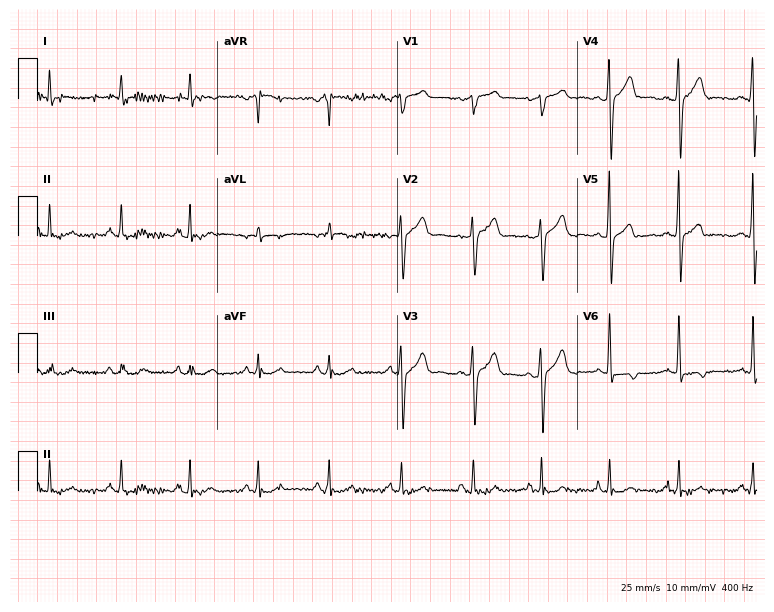
Electrocardiogram, a male, 68 years old. Of the six screened findings (first-degree AV block, right bundle branch block (RBBB), left bundle branch block (LBBB), sinus bradycardia, atrial fibrillation (AF), sinus tachycardia), none is recorded.